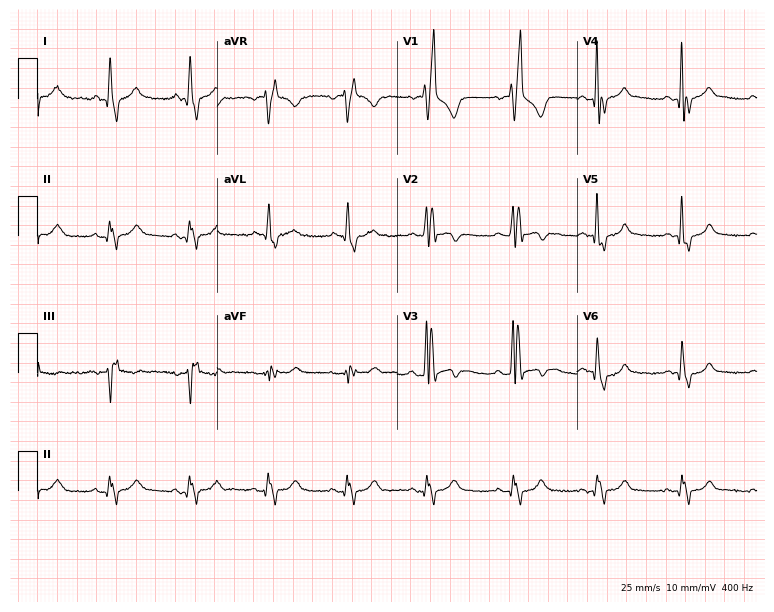
Resting 12-lead electrocardiogram (7.3-second recording at 400 Hz). Patient: a male, 75 years old. The tracing shows right bundle branch block.